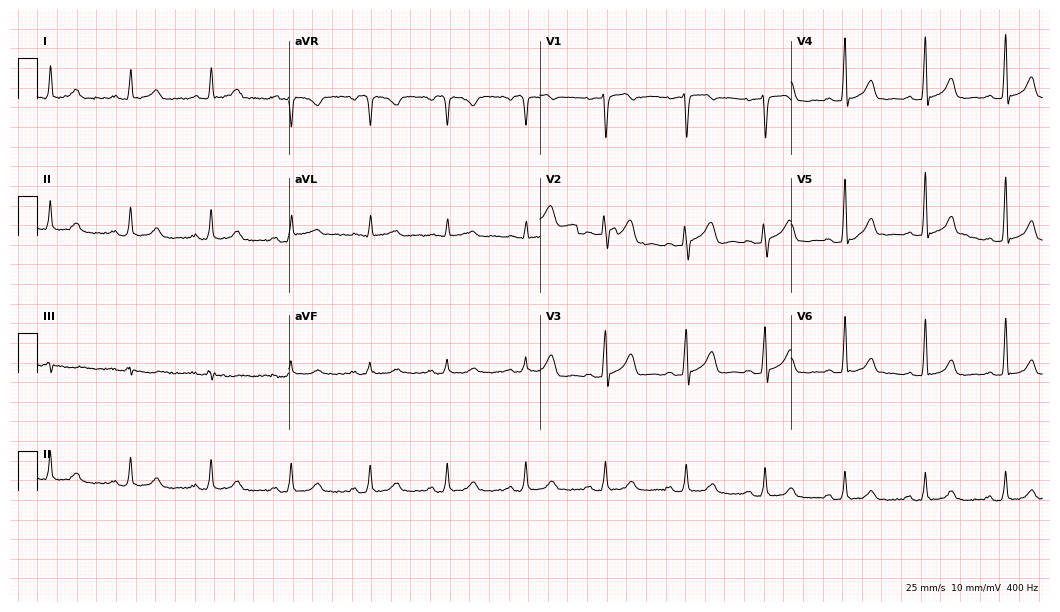
12-lead ECG from a female patient, 51 years old (10.2-second recording at 400 Hz). Recorded interpretation: within normal limits.